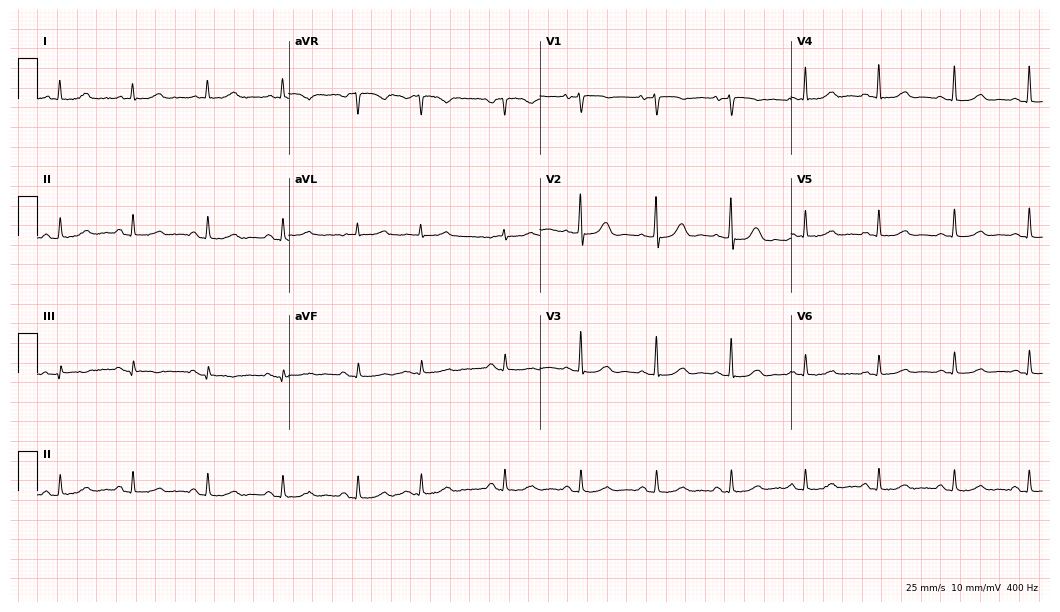
ECG (10.2-second recording at 400 Hz) — a 75-year-old female. Labelled as a normal ECG.